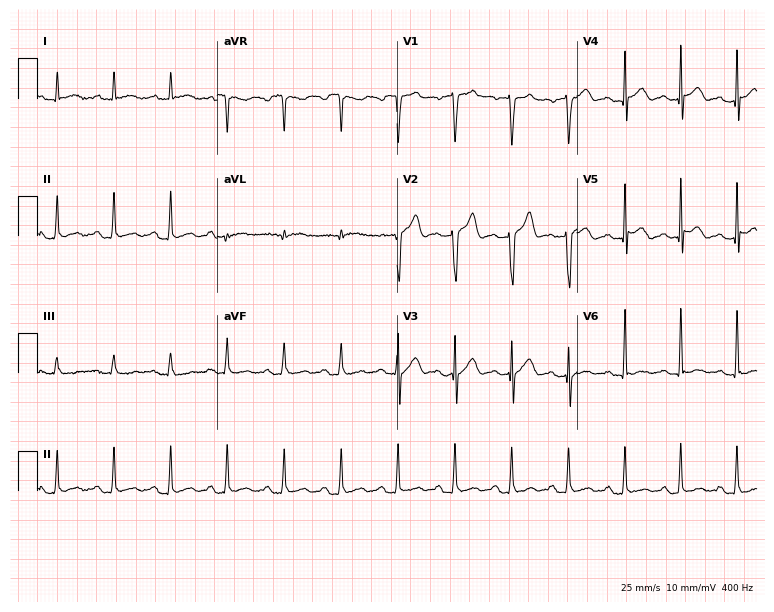
12-lead ECG from a man, 36 years old (7.3-second recording at 400 Hz). Shows sinus tachycardia (a sinus rate of 100 beats per minute or more).